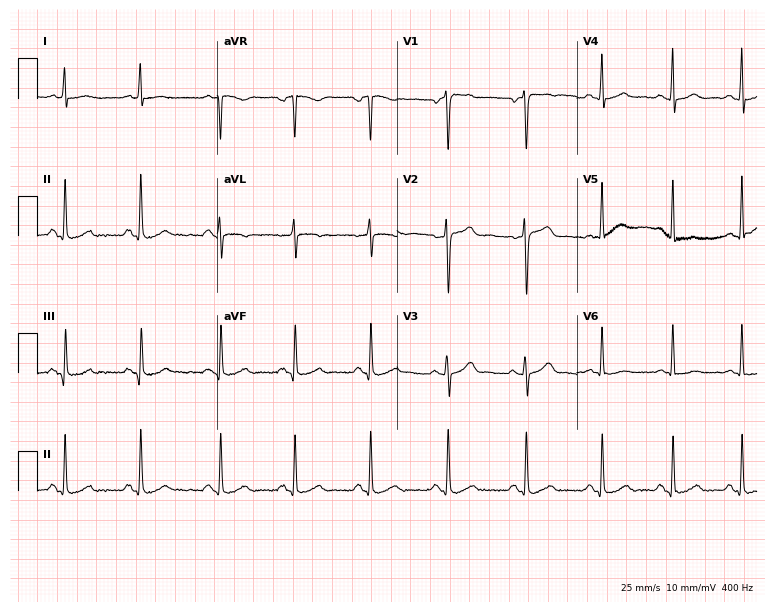
ECG (7.3-second recording at 400 Hz) — a male, 33 years old. Labelled as a normal ECG.